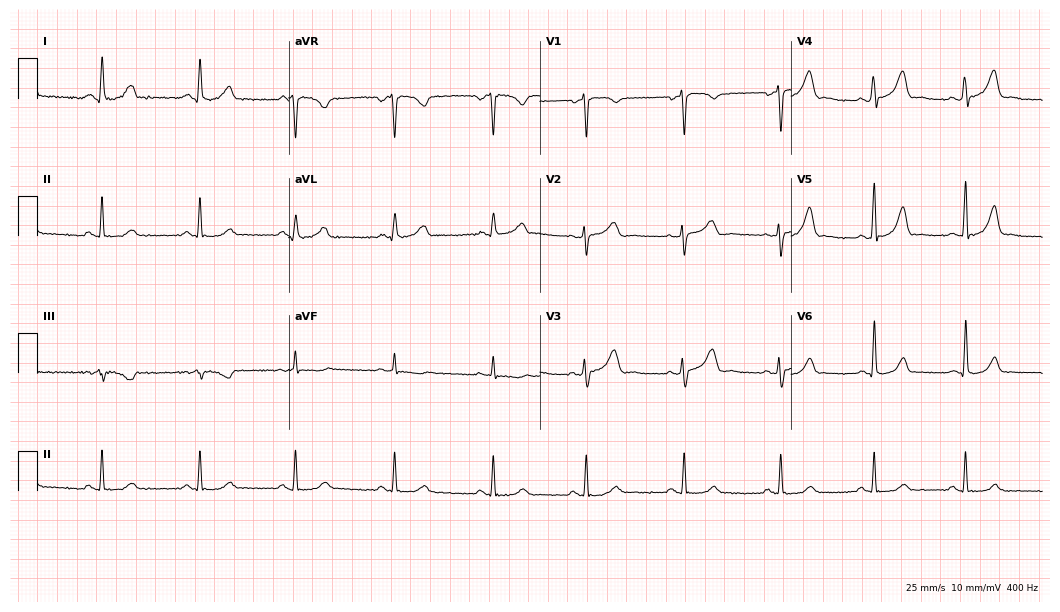
ECG (10.2-second recording at 400 Hz) — a female, 37 years old. Labelled as a normal ECG.